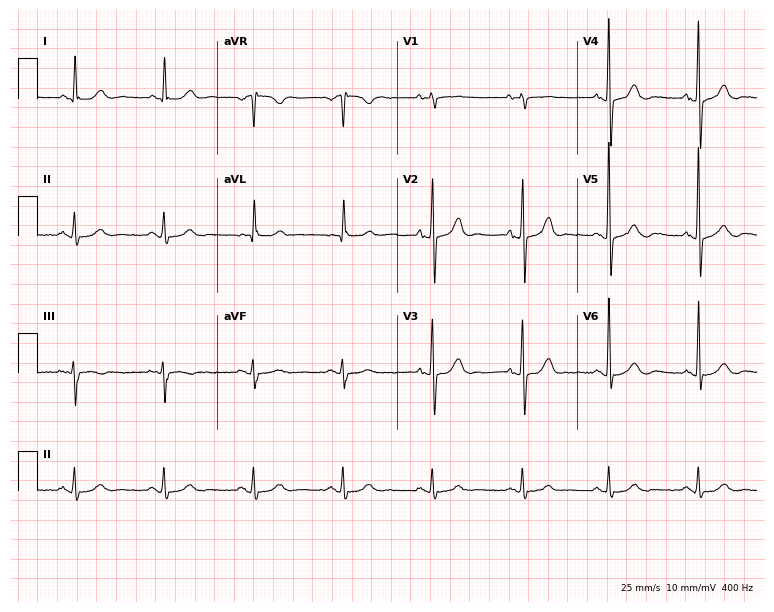
ECG — an 81-year-old woman. Labelled as a normal ECG.